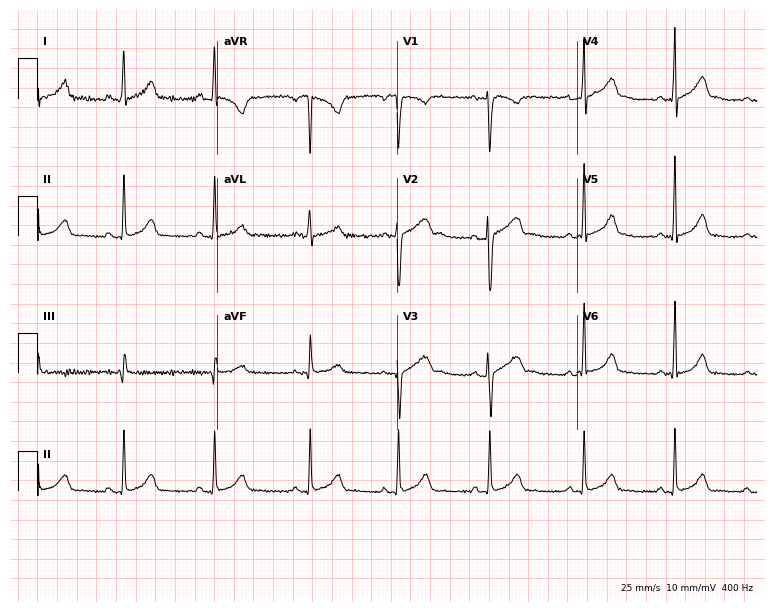
ECG (7.3-second recording at 400 Hz) — a 20-year-old female patient. Labelled as a normal ECG.